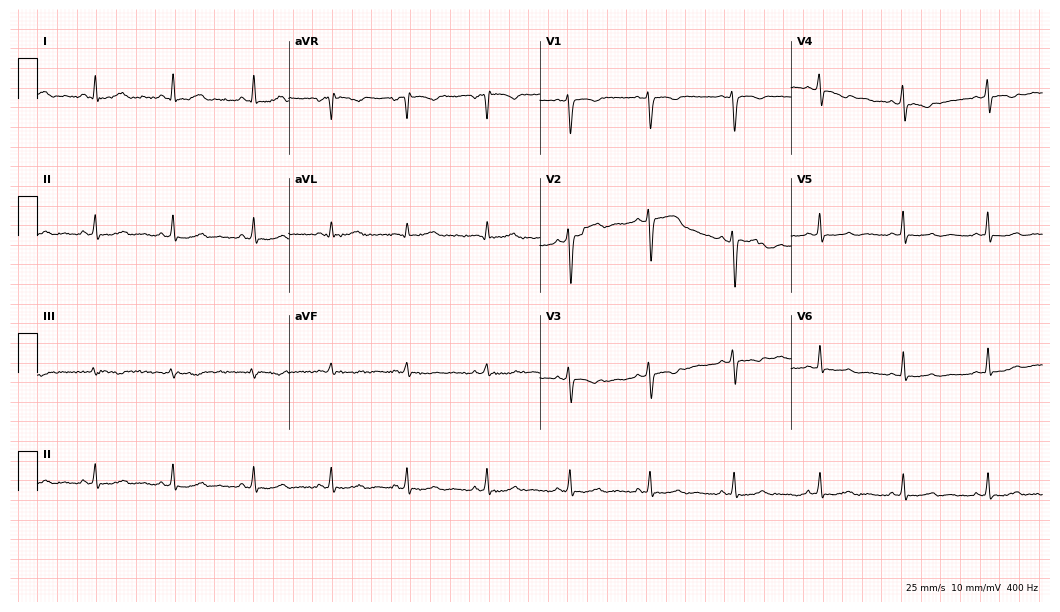
12-lead ECG from a 33-year-old female (10.2-second recording at 400 Hz). No first-degree AV block, right bundle branch block, left bundle branch block, sinus bradycardia, atrial fibrillation or sinus tachycardia recorded for this tracing. Only these six findings were labelled.